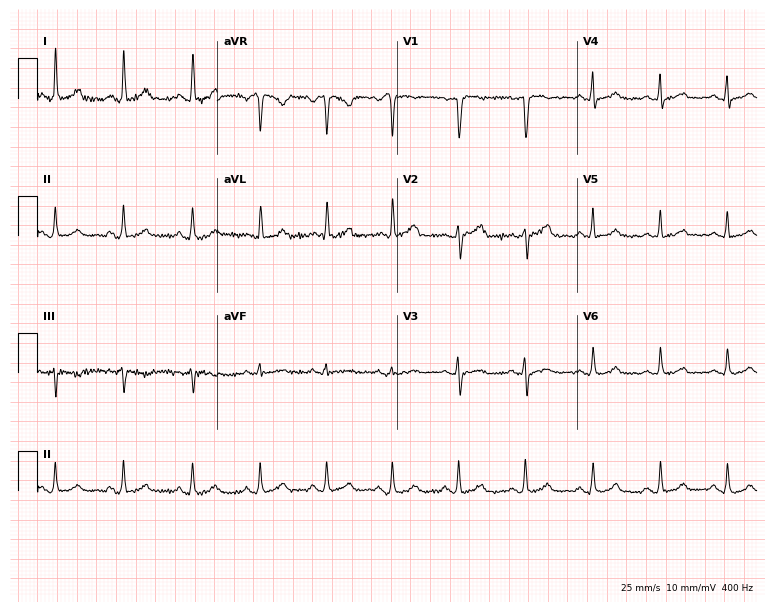
12-lead ECG from a 41-year-old female. Recorded interpretation: within normal limits.